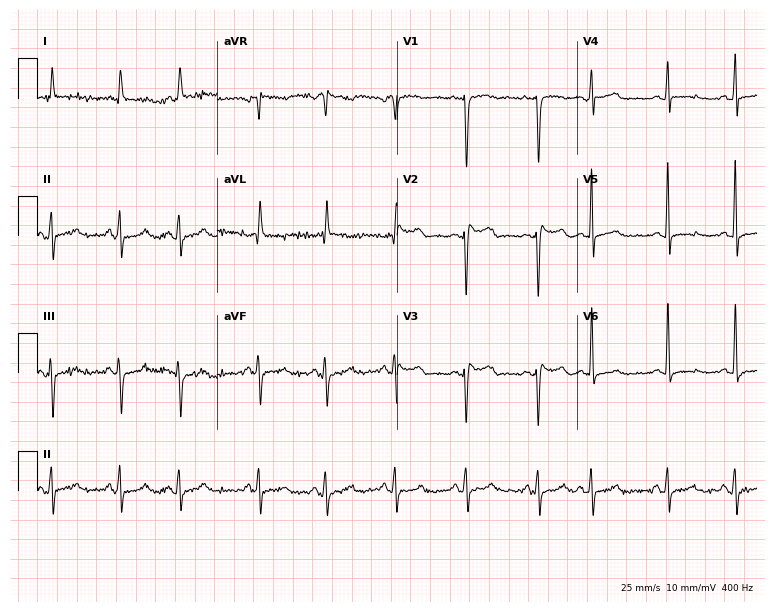
12-lead ECG from a woman, 69 years old (7.3-second recording at 400 Hz). No first-degree AV block, right bundle branch block, left bundle branch block, sinus bradycardia, atrial fibrillation or sinus tachycardia recorded for this tracing.